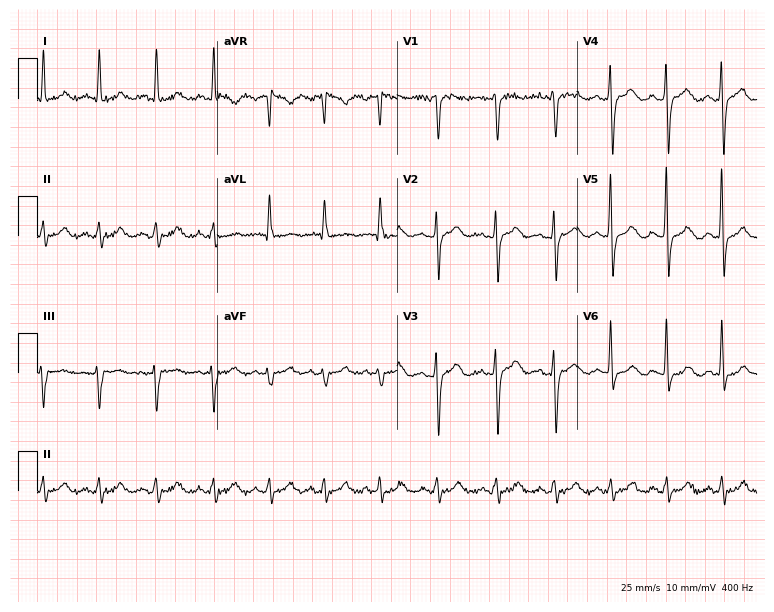
12-lead ECG from a 45-year-old male patient. Findings include sinus tachycardia (a sinus rate of 100 beats per minute or more).